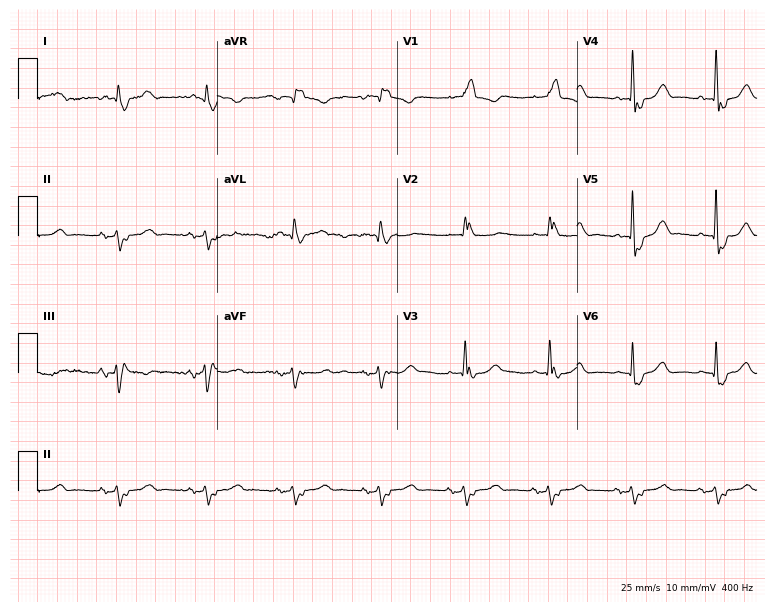
Electrocardiogram (7.3-second recording at 400 Hz), a 77-year-old man. Interpretation includes right bundle branch block (RBBB).